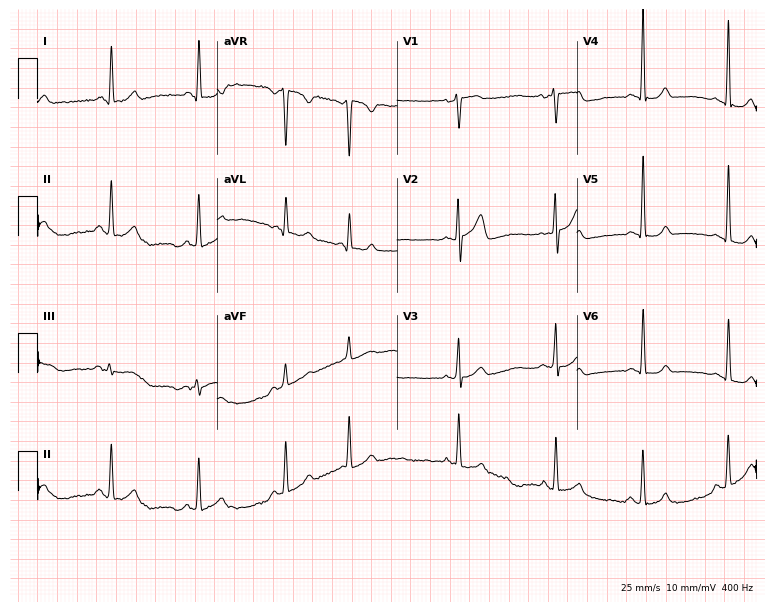
12-lead ECG from a female, 81 years old. No first-degree AV block, right bundle branch block (RBBB), left bundle branch block (LBBB), sinus bradycardia, atrial fibrillation (AF) or sinus tachycardia recorded for this tracing.